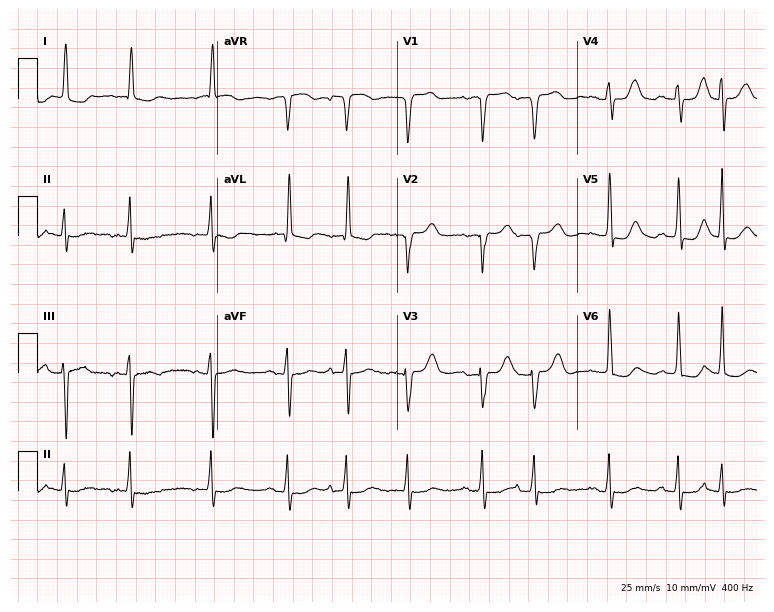
12-lead ECG (7.3-second recording at 400 Hz) from an 84-year-old female. Screened for six findings — first-degree AV block, right bundle branch block, left bundle branch block, sinus bradycardia, atrial fibrillation, sinus tachycardia — none is recorded.